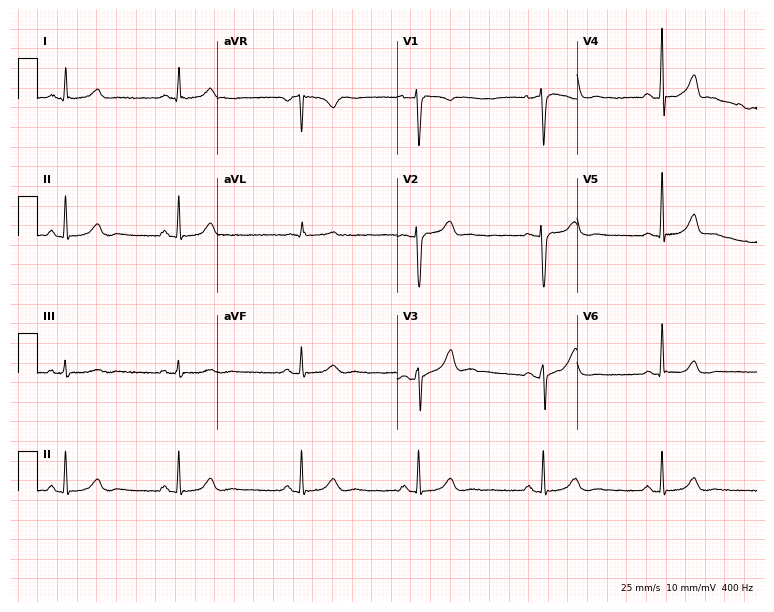
12-lead ECG (7.3-second recording at 400 Hz) from a 30-year-old female patient. Findings include sinus bradycardia (a sinus rate of 50 beats per minute or less).